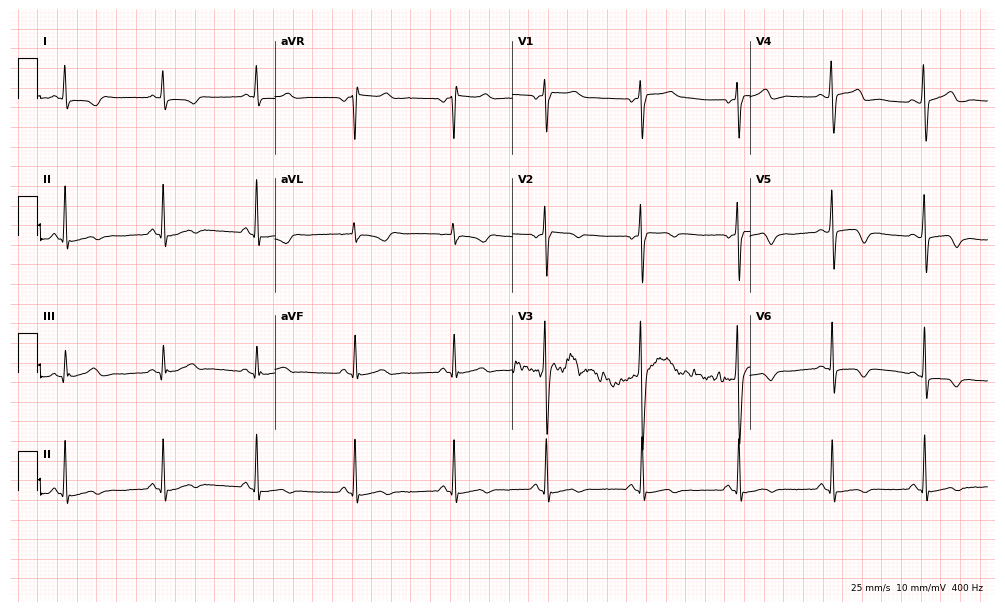
12-lead ECG from a 28-year-old female patient. No first-degree AV block, right bundle branch block, left bundle branch block, sinus bradycardia, atrial fibrillation or sinus tachycardia recorded for this tracing. Only these six findings were labelled.